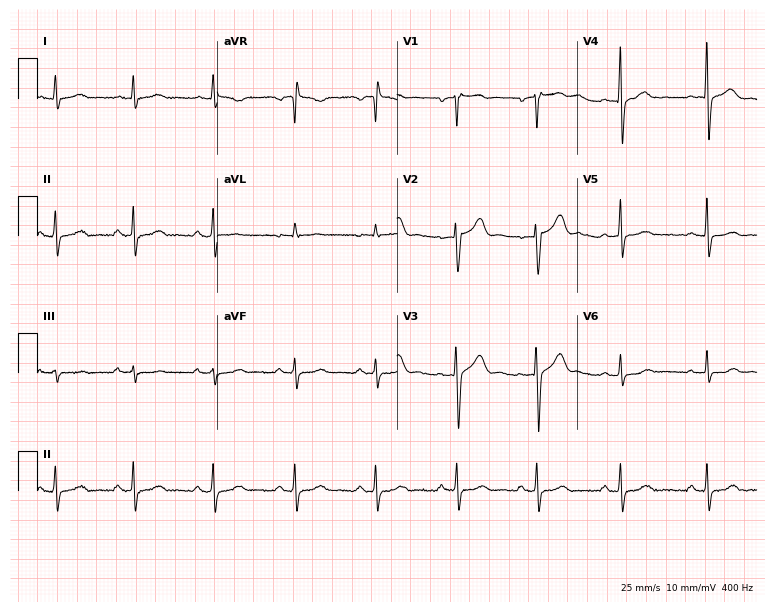
Standard 12-lead ECG recorded from a male, 43 years old. None of these six findings is recorded: first-degree AV block, right bundle branch block, left bundle branch block, sinus bradycardia, atrial fibrillation, sinus tachycardia. Only these six findings were labelled.